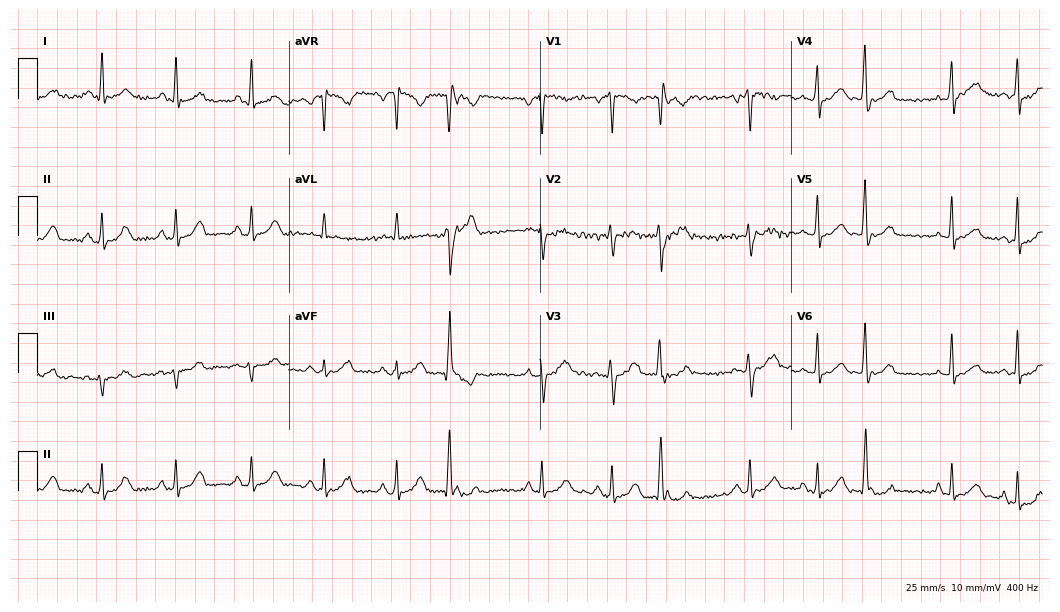
ECG — a female, 45 years old. Labelled as a normal ECG.